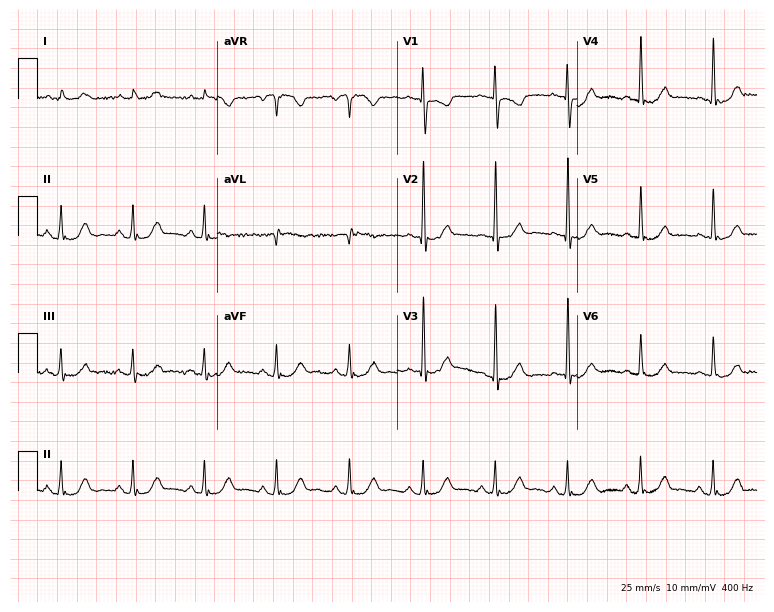
12-lead ECG from a male, 58 years old. Recorded interpretation: within normal limits.